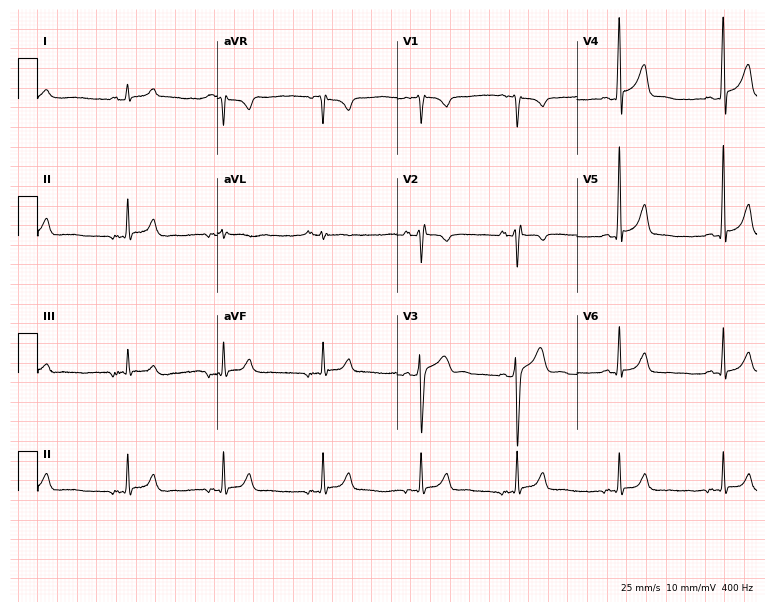
Electrocardiogram, a 24-year-old man. Of the six screened findings (first-degree AV block, right bundle branch block (RBBB), left bundle branch block (LBBB), sinus bradycardia, atrial fibrillation (AF), sinus tachycardia), none is recorded.